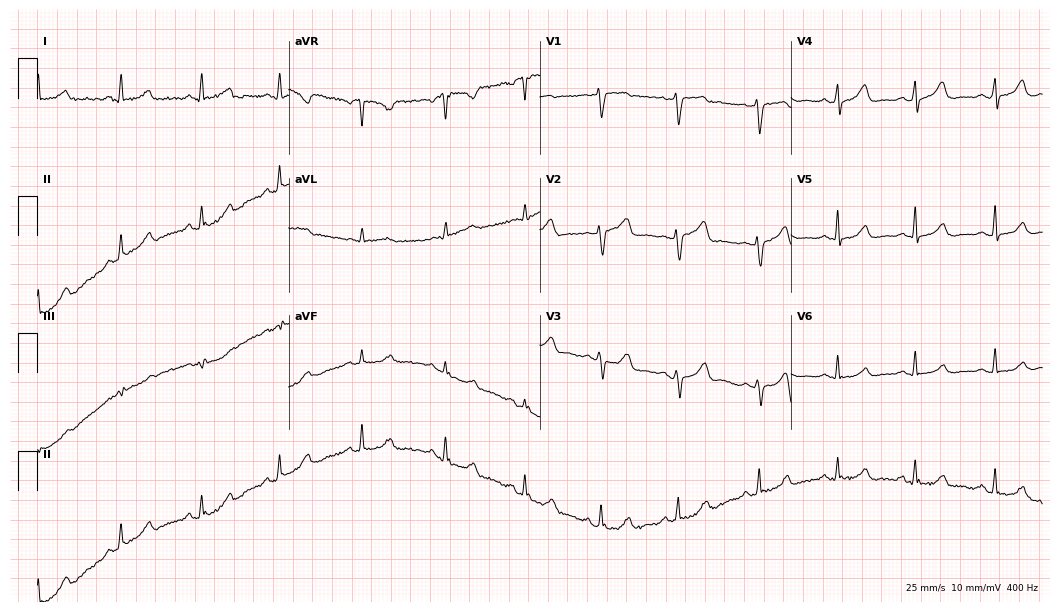
Resting 12-lead electrocardiogram. Patient: a 51-year-old female. Read as a normal ECG.